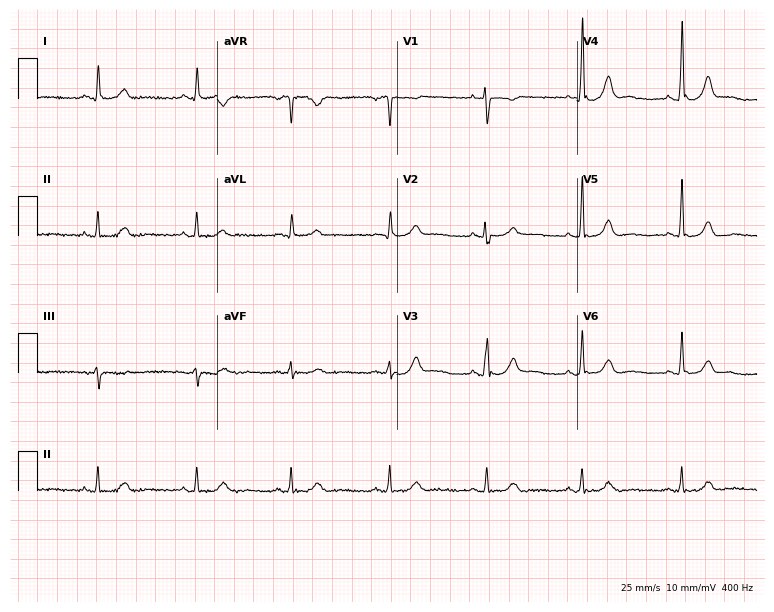
Standard 12-lead ECG recorded from a 58-year-old female patient (7.3-second recording at 400 Hz). None of these six findings is recorded: first-degree AV block, right bundle branch block (RBBB), left bundle branch block (LBBB), sinus bradycardia, atrial fibrillation (AF), sinus tachycardia.